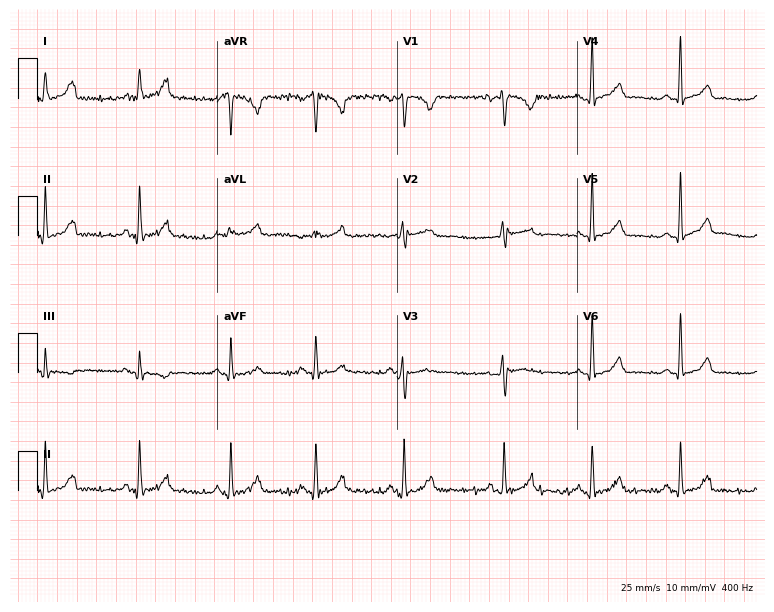
Resting 12-lead electrocardiogram. Patient: a woman, 39 years old. Read as a normal ECG.